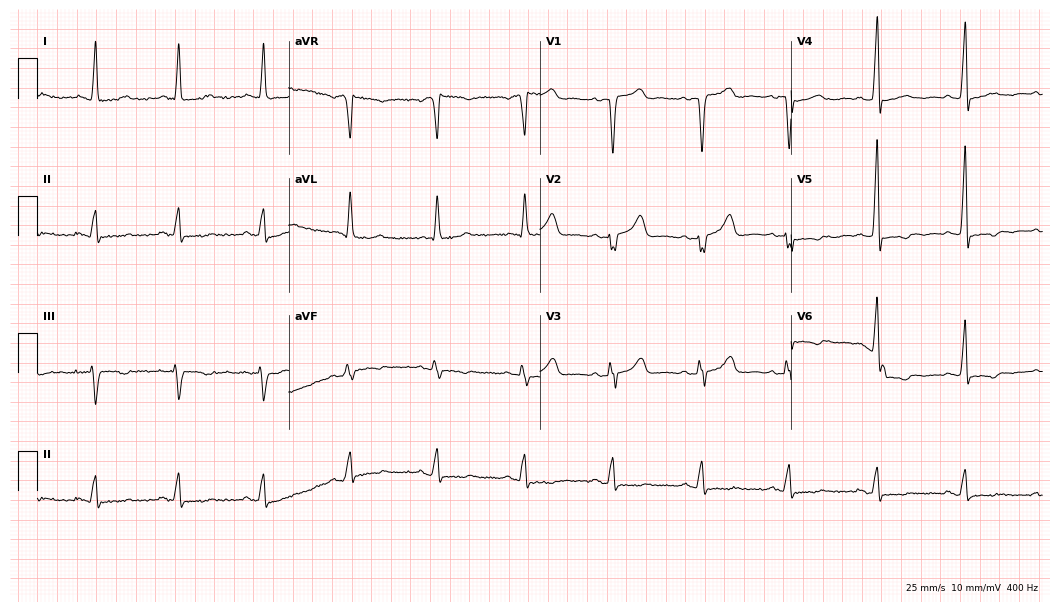
Electrocardiogram (10.2-second recording at 400 Hz), a 41-year-old female. Overall reading on record: normal ECG.